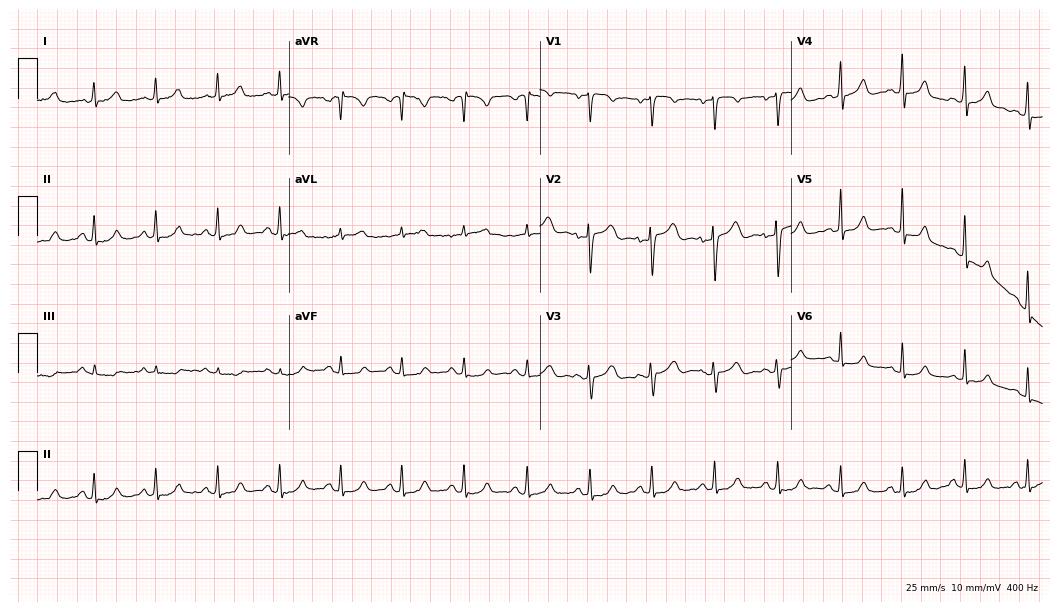
Resting 12-lead electrocardiogram. Patient: a 49-year-old female. Read as a normal ECG.